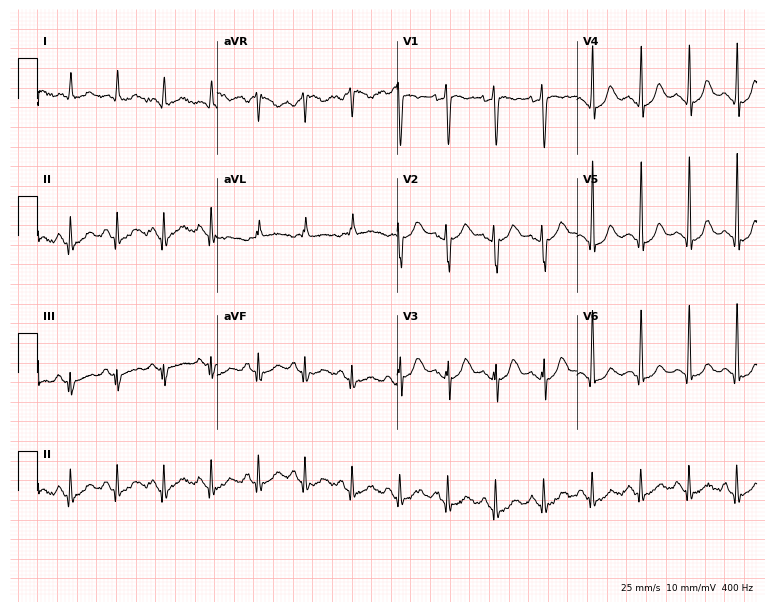
Electrocardiogram, a 71-year-old woman. Interpretation includes sinus tachycardia (a sinus rate of 100 beats per minute or more).